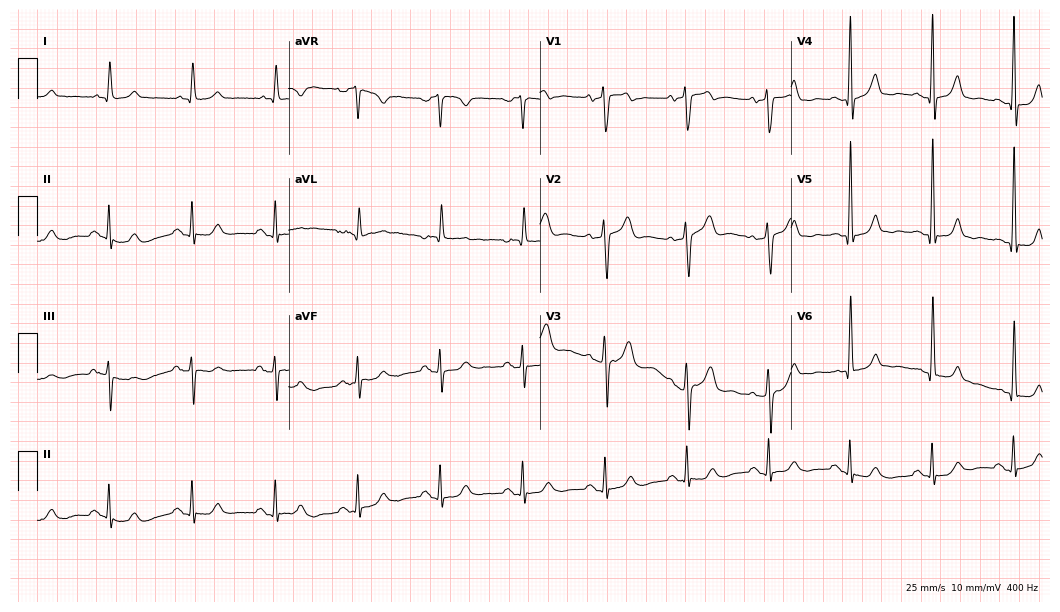
ECG (10.2-second recording at 400 Hz) — a 78-year-old male. Labelled as a normal ECG.